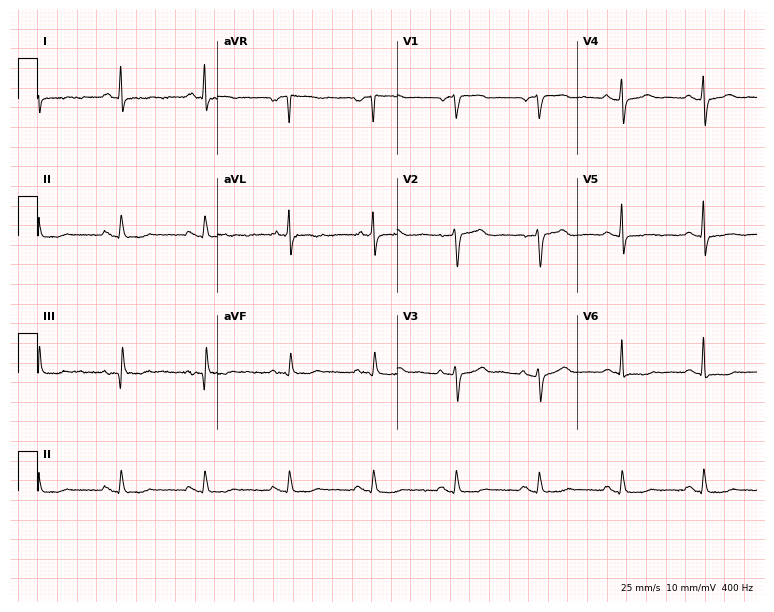
Resting 12-lead electrocardiogram. Patient: a female, 68 years old. None of these six findings is recorded: first-degree AV block, right bundle branch block, left bundle branch block, sinus bradycardia, atrial fibrillation, sinus tachycardia. Only these six findings were labelled.